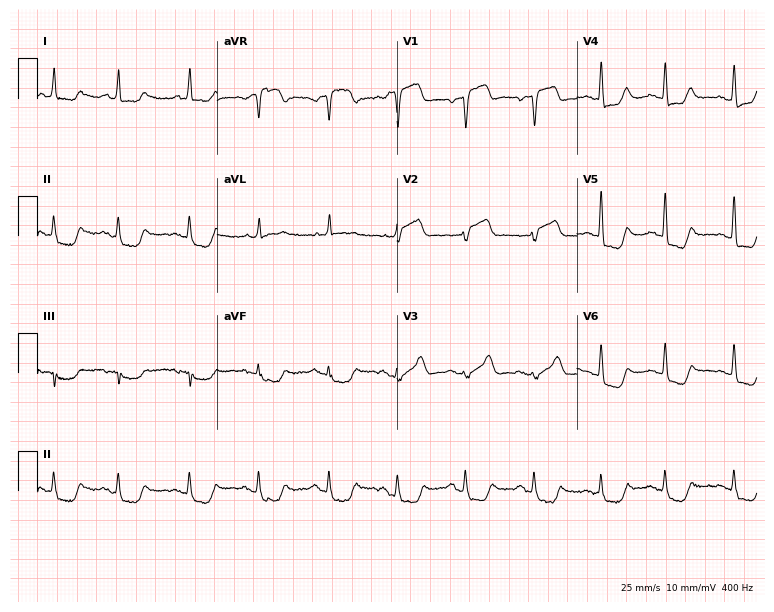
12-lead ECG from a male, 85 years old. No first-degree AV block, right bundle branch block, left bundle branch block, sinus bradycardia, atrial fibrillation or sinus tachycardia recorded for this tracing.